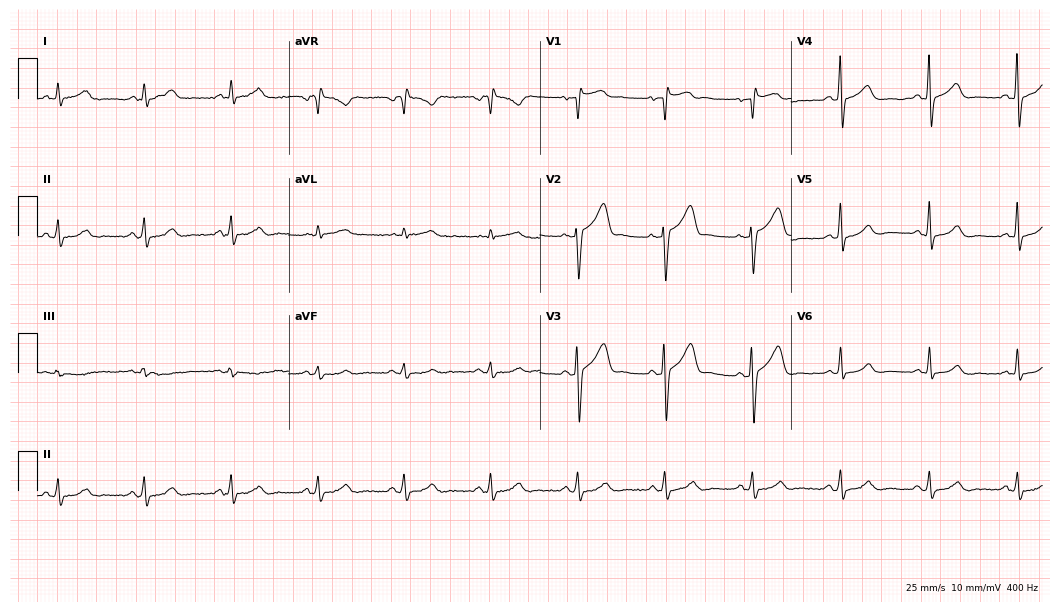
Standard 12-lead ECG recorded from a 58-year-old male patient (10.2-second recording at 400 Hz). None of these six findings is recorded: first-degree AV block, right bundle branch block, left bundle branch block, sinus bradycardia, atrial fibrillation, sinus tachycardia.